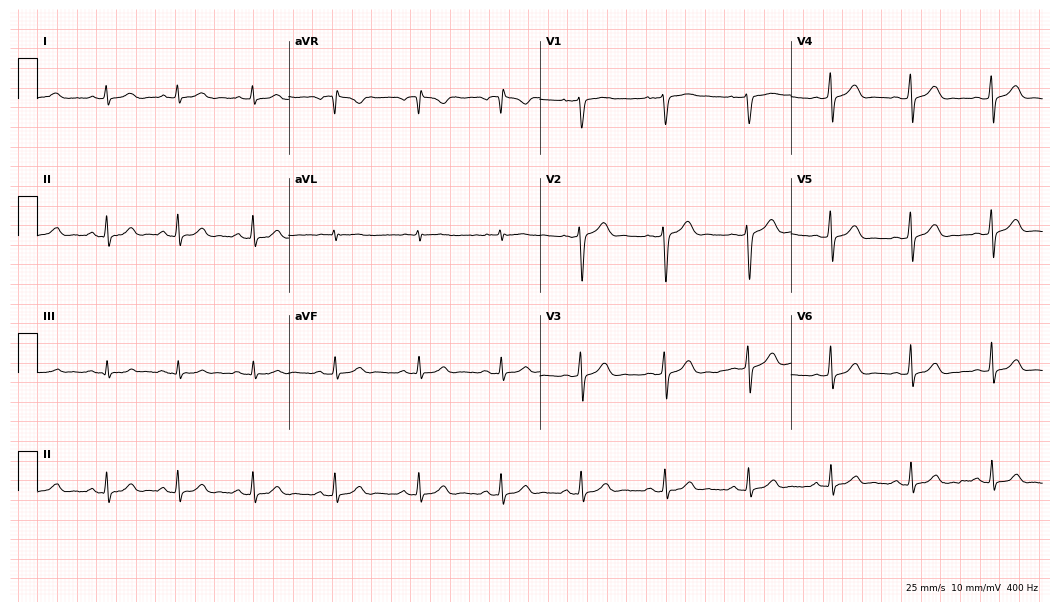
Resting 12-lead electrocardiogram. Patient: a 19-year-old woman. Read as a normal ECG.